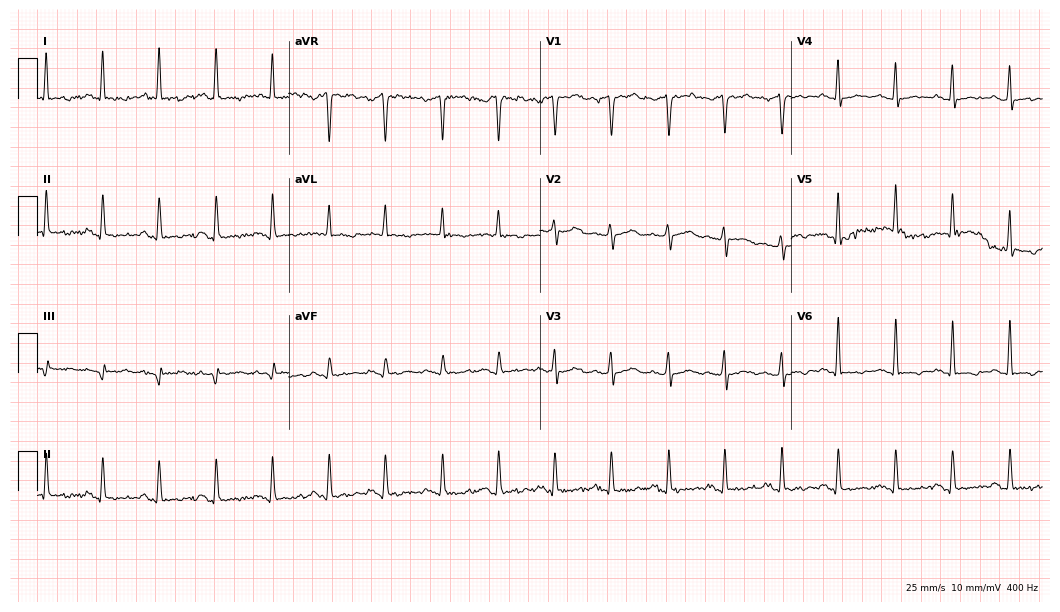
ECG — a woman, 61 years old. Findings include sinus tachycardia (a sinus rate of 100 beats per minute or more).